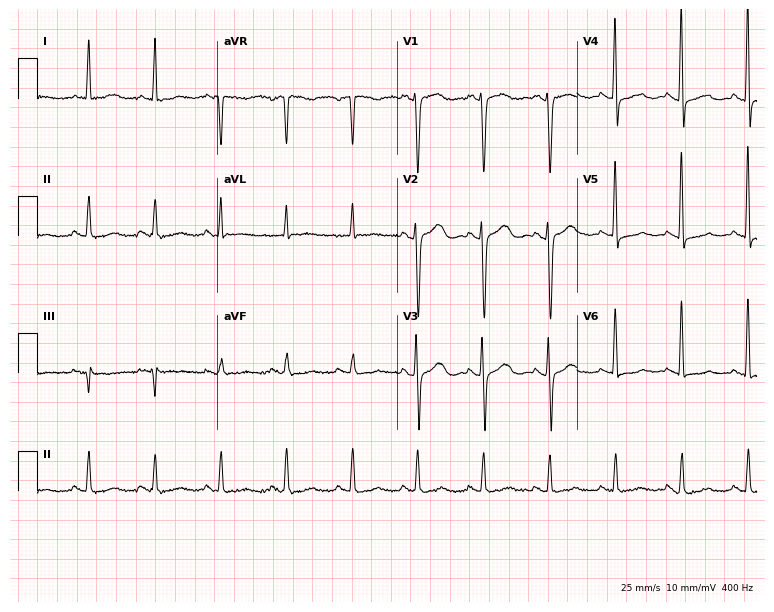
Resting 12-lead electrocardiogram. Patient: a woman, 43 years old. None of these six findings is recorded: first-degree AV block, right bundle branch block, left bundle branch block, sinus bradycardia, atrial fibrillation, sinus tachycardia. Other findings, if any, are not listed.